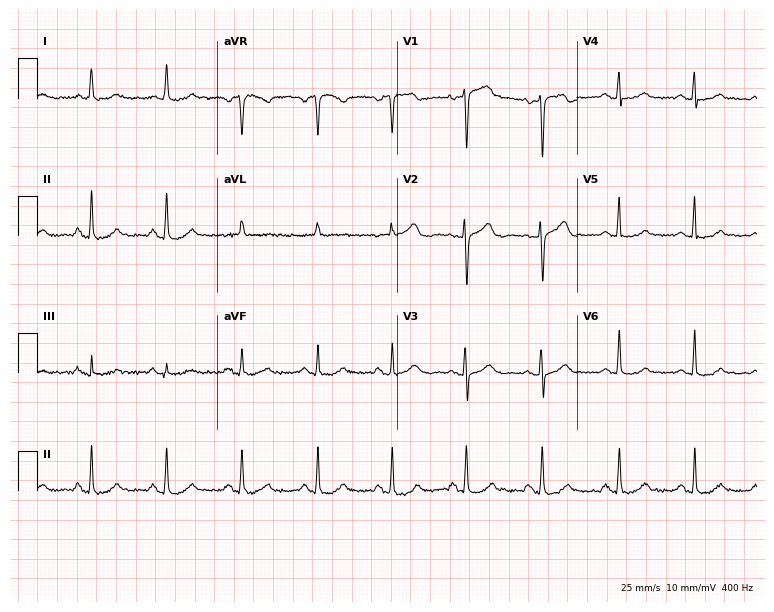
Electrocardiogram, a woman, 53 years old. Overall reading on record: normal ECG.